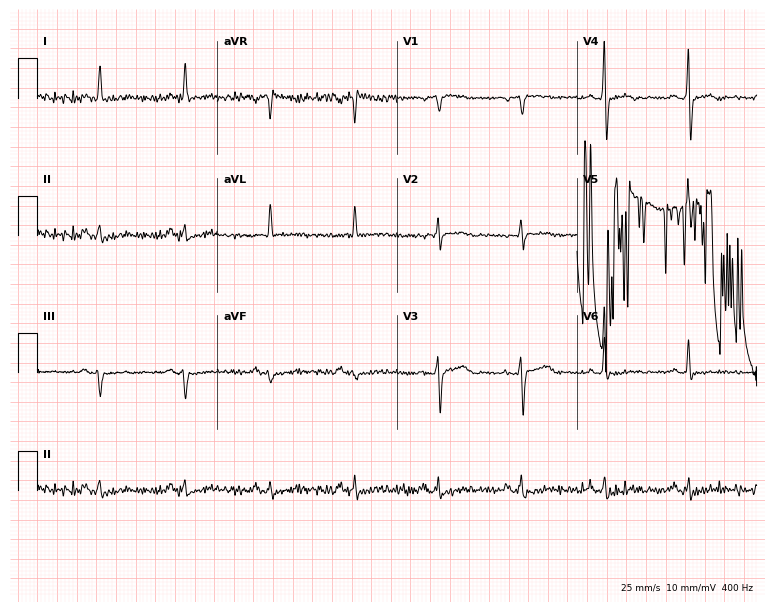
Resting 12-lead electrocardiogram (7.3-second recording at 400 Hz). Patient: a 67-year-old woman. None of these six findings is recorded: first-degree AV block, right bundle branch block, left bundle branch block, sinus bradycardia, atrial fibrillation, sinus tachycardia.